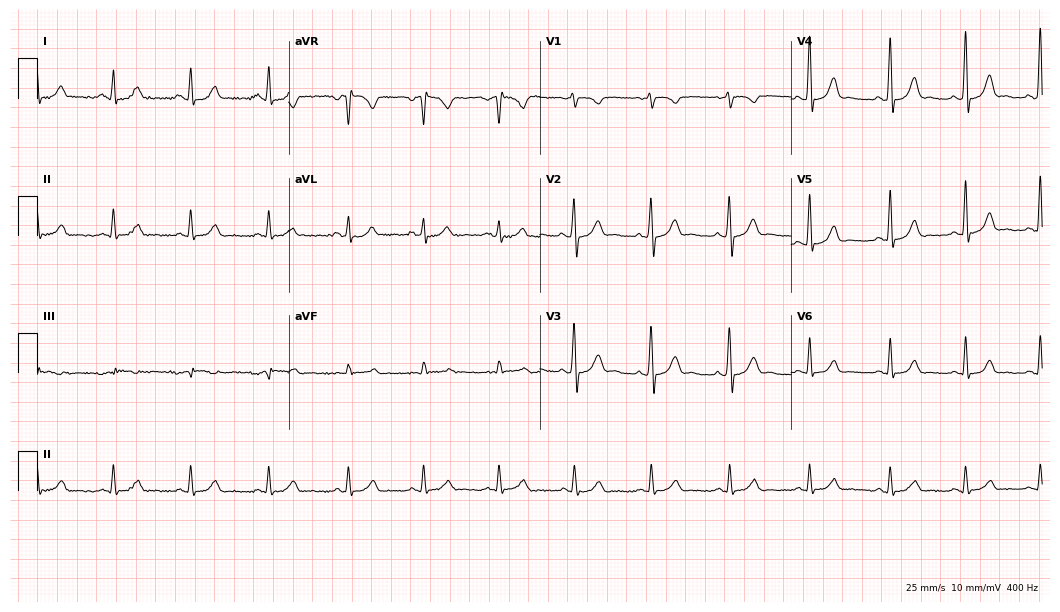
Resting 12-lead electrocardiogram (10.2-second recording at 400 Hz). Patient: a 34-year-old female. Read as a normal ECG.